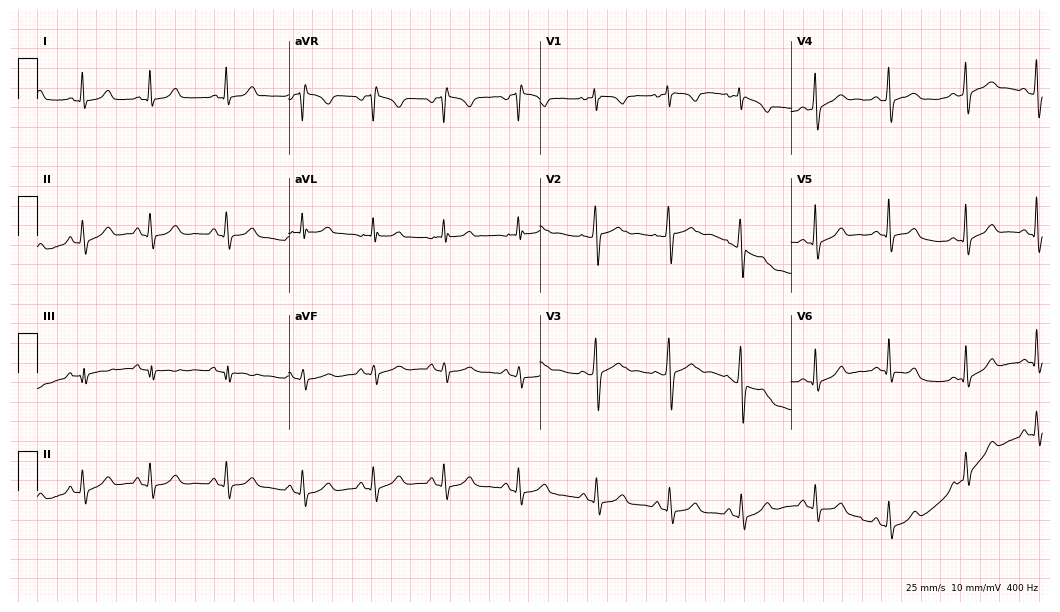
ECG (10.2-second recording at 400 Hz) — a 26-year-old female patient. Labelled as a normal ECG.